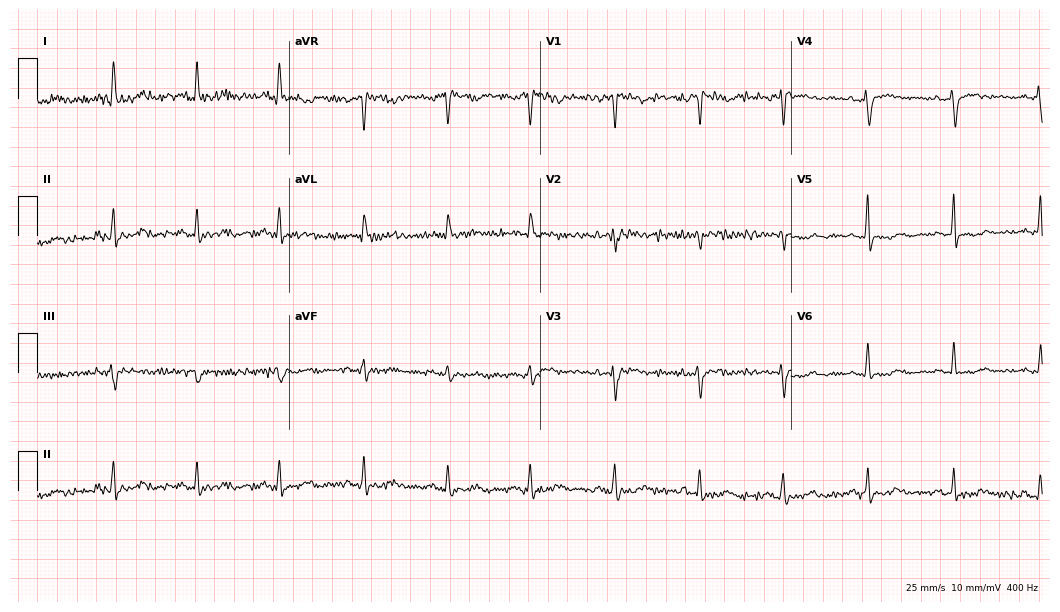
12-lead ECG from a 58-year-old female patient (10.2-second recording at 400 Hz). No first-degree AV block, right bundle branch block, left bundle branch block, sinus bradycardia, atrial fibrillation or sinus tachycardia recorded for this tracing. Other findings, if any, are not listed.